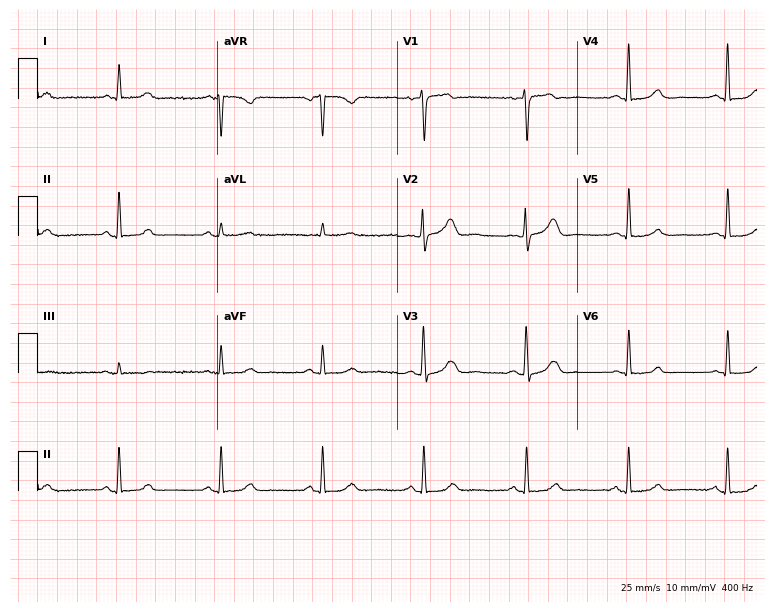
12-lead ECG (7.3-second recording at 400 Hz) from a female, 72 years old. Labelled as a normal ECG.